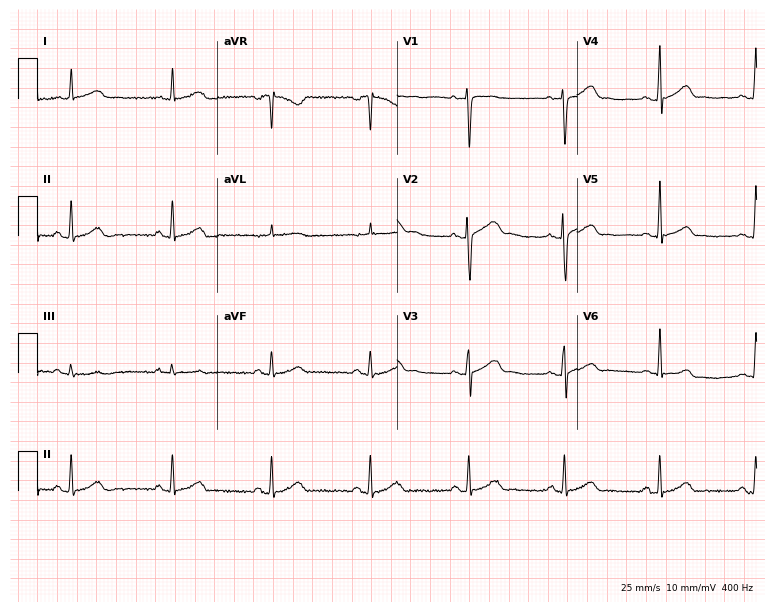
Electrocardiogram (7.3-second recording at 400 Hz), a male patient, 34 years old. Overall reading on record: normal ECG.